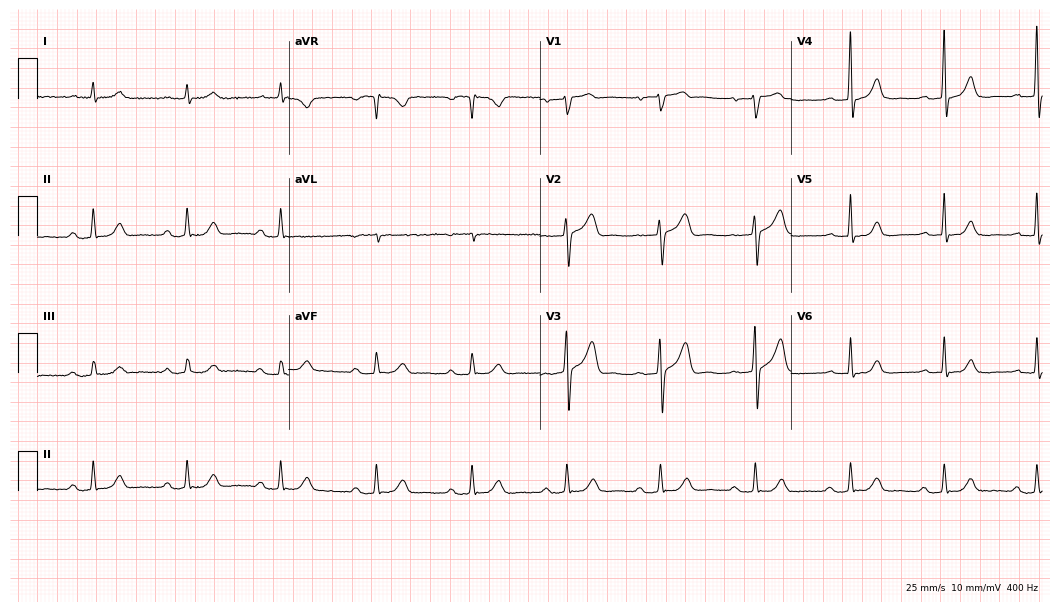
Resting 12-lead electrocardiogram (10.2-second recording at 400 Hz). Patient: a male, 80 years old. The tracing shows first-degree AV block.